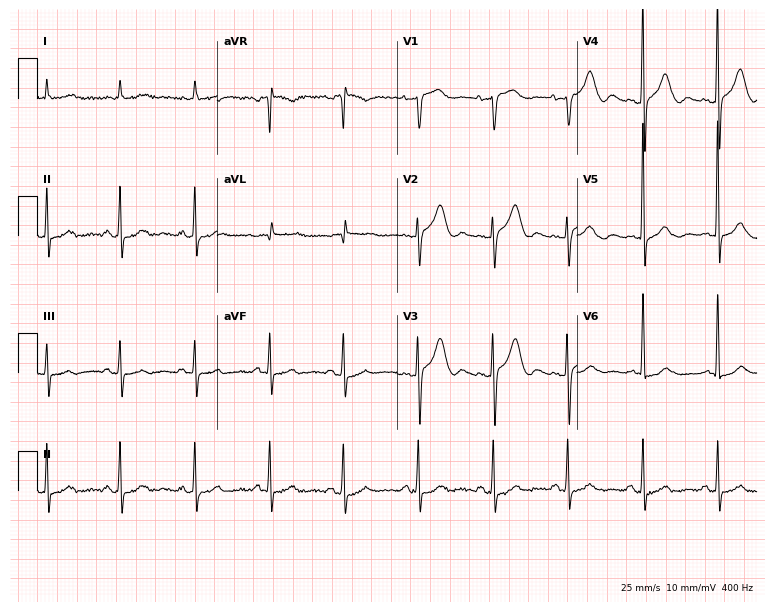
Resting 12-lead electrocardiogram. Patient: a female, 83 years old. None of these six findings is recorded: first-degree AV block, right bundle branch block (RBBB), left bundle branch block (LBBB), sinus bradycardia, atrial fibrillation (AF), sinus tachycardia. Only these six findings were labelled.